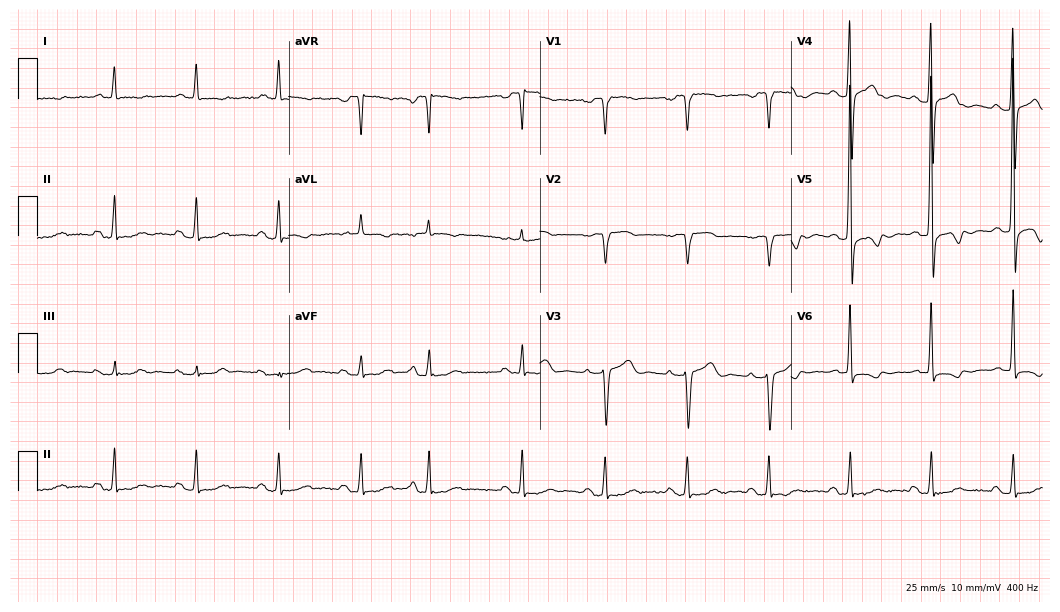
Resting 12-lead electrocardiogram (10.2-second recording at 400 Hz). Patient: a male, 79 years old. None of these six findings is recorded: first-degree AV block, right bundle branch block, left bundle branch block, sinus bradycardia, atrial fibrillation, sinus tachycardia. Findings outside these six are not listed.